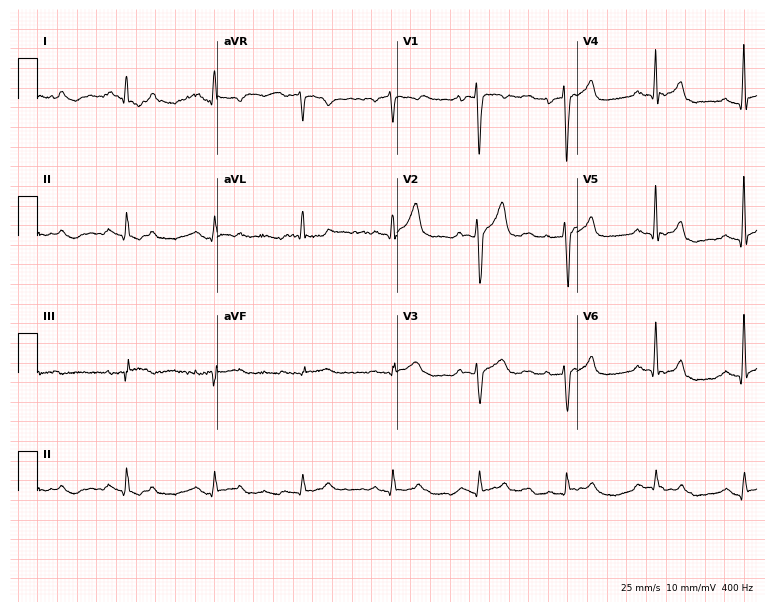
ECG — a male patient, 50 years old. Labelled as a normal ECG.